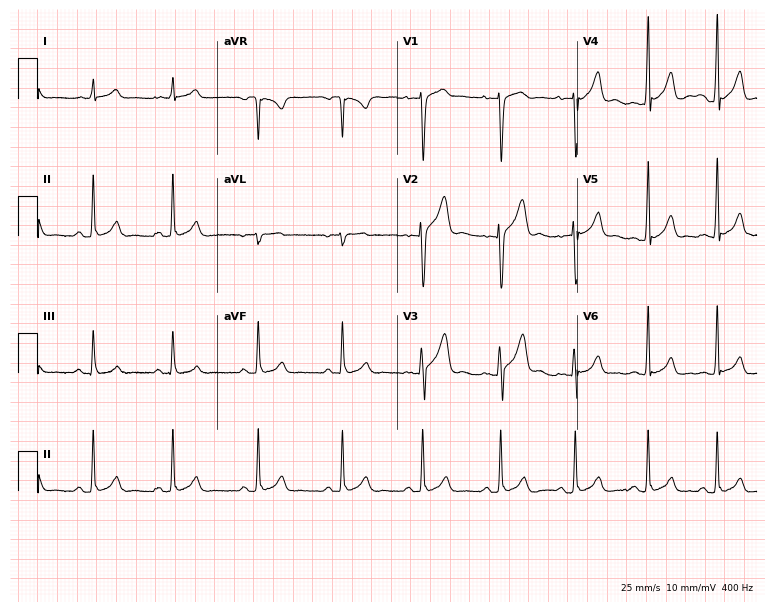
ECG — a 24-year-old male. Labelled as a normal ECG.